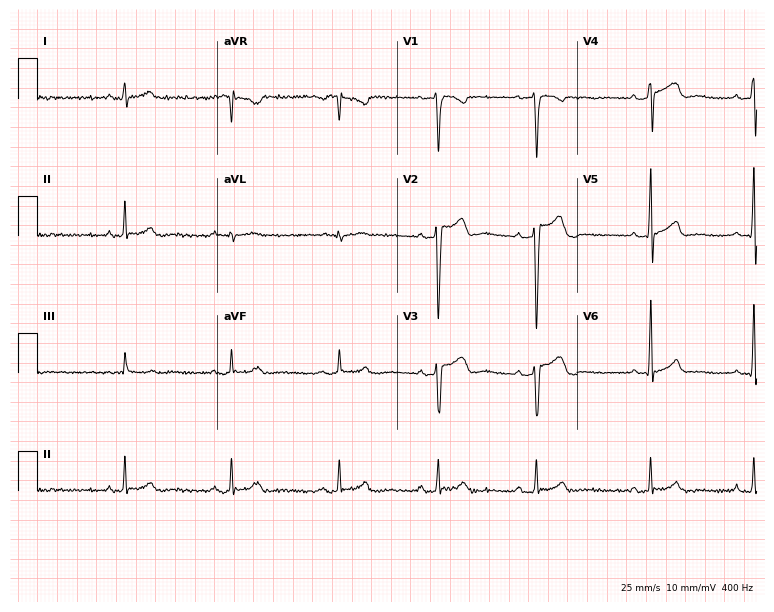
Resting 12-lead electrocardiogram (7.3-second recording at 400 Hz). Patient: a male, 38 years old. None of these six findings is recorded: first-degree AV block, right bundle branch block (RBBB), left bundle branch block (LBBB), sinus bradycardia, atrial fibrillation (AF), sinus tachycardia. Only these six findings were labelled.